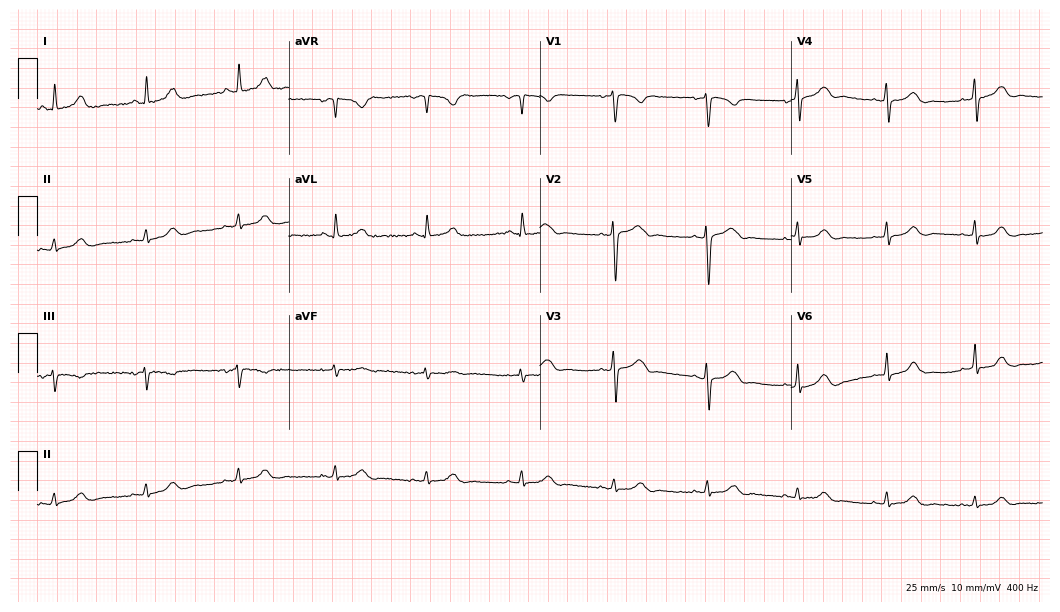
Standard 12-lead ECG recorded from a female patient, 36 years old (10.2-second recording at 400 Hz). Read as a normal ECG.